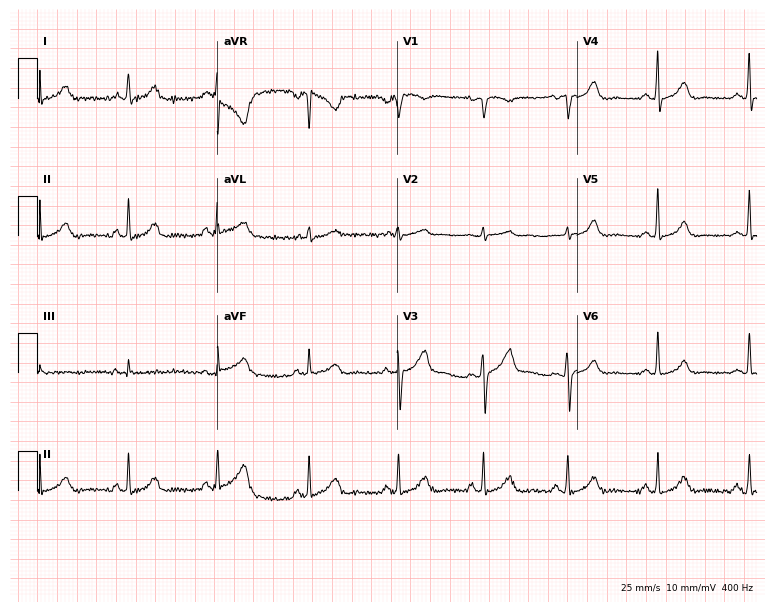
Resting 12-lead electrocardiogram. Patient: a female, 36 years old. Read as a normal ECG.